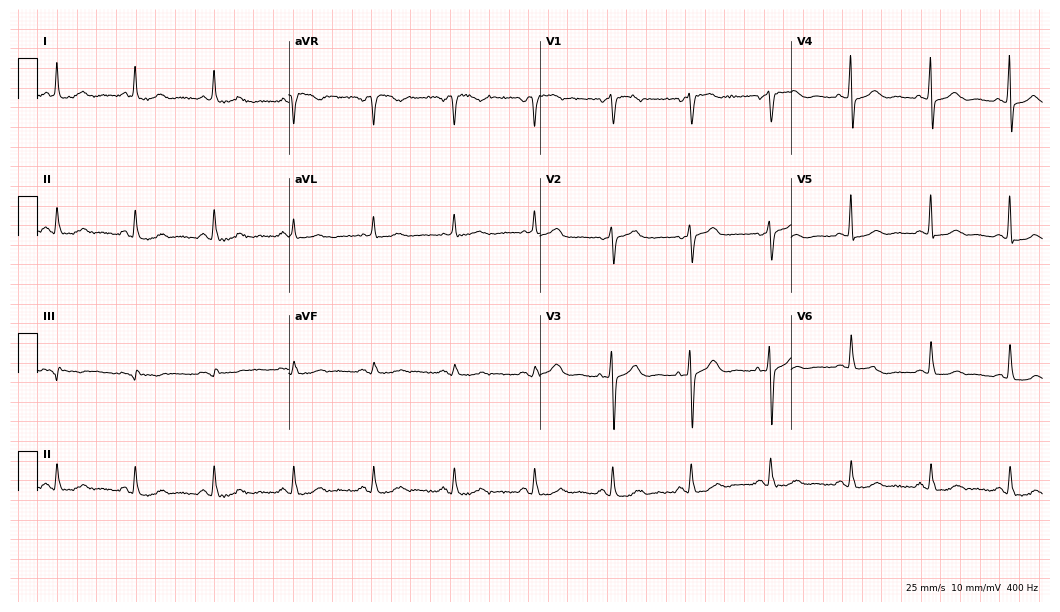
12-lead ECG from a female, 59 years old. Recorded interpretation: within normal limits.